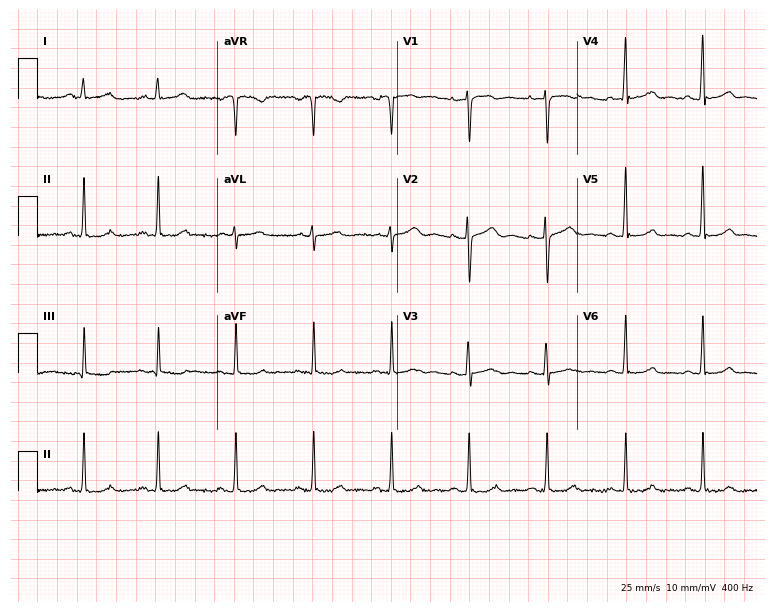
Standard 12-lead ECG recorded from a female, 41 years old (7.3-second recording at 400 Hz). None of these six findings is recorded: first-degree AV block, right bundle branch block, left bundle branch block, sinus bradycardia, atrial fibrillation, sinus tachycardia. Other findings, if any, are not listed.